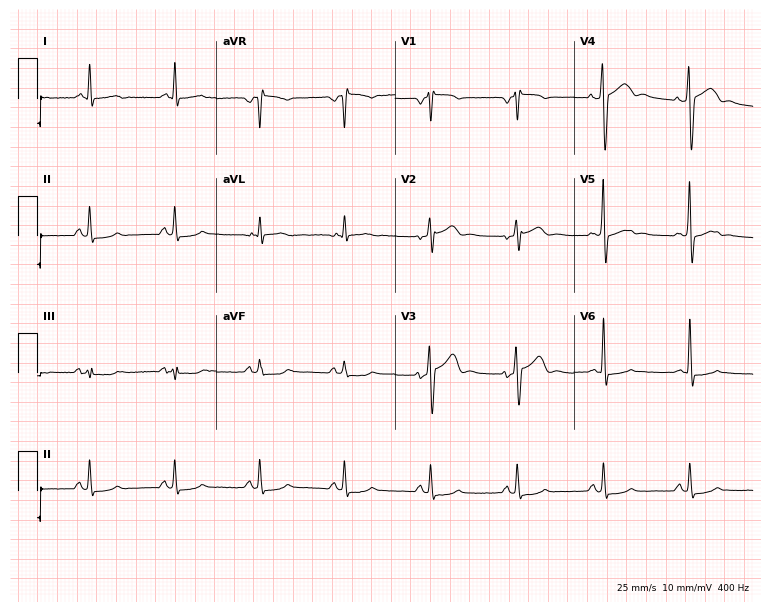
Resting 12-lead electrocardiogram. Patient: a male, 62 years old. None of these six findings is recorded: first-degree AV block, right bundle branch block, left bundle branch block, sinus bradycardia, atrial fibrillation, sinus tachycardia.